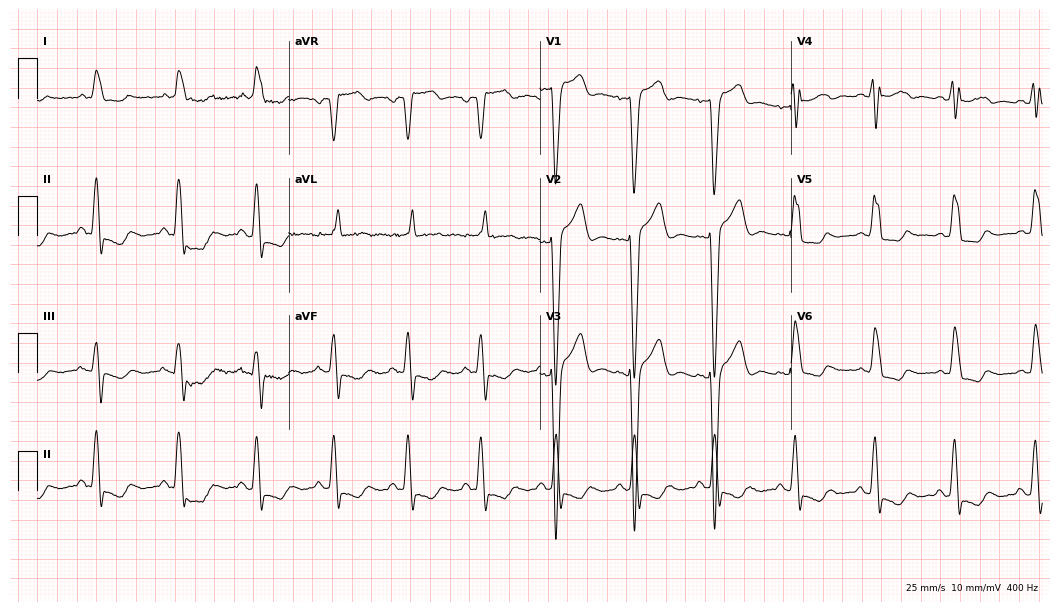
Standard 12-lead ECG recorded from a woman, 81 years old. The tracing shows left bundle branch block.